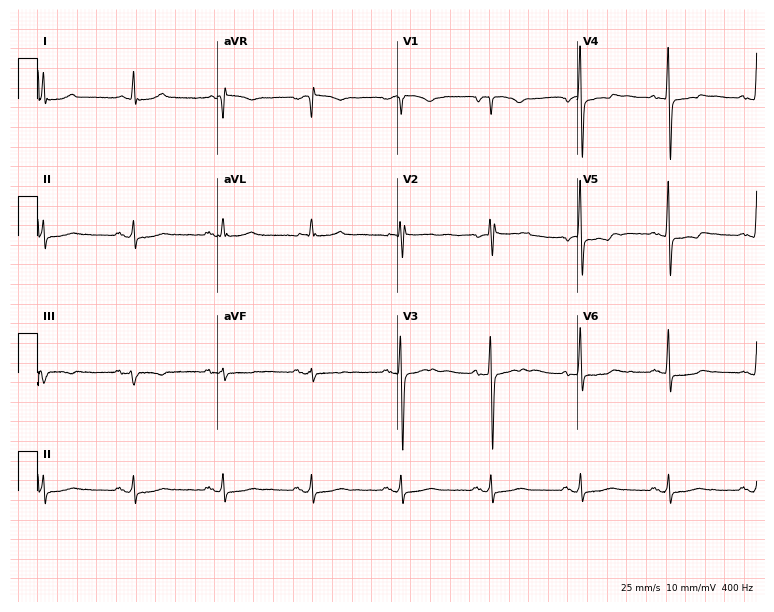
Standard 12-lead ECG recorded from a 64-year-old man. None of these six findings is recorded: first-degree AV block, right bundle branch block, left bundle branch block, sinus bradycardia, atrial fibrillation, sinus tachycardia.